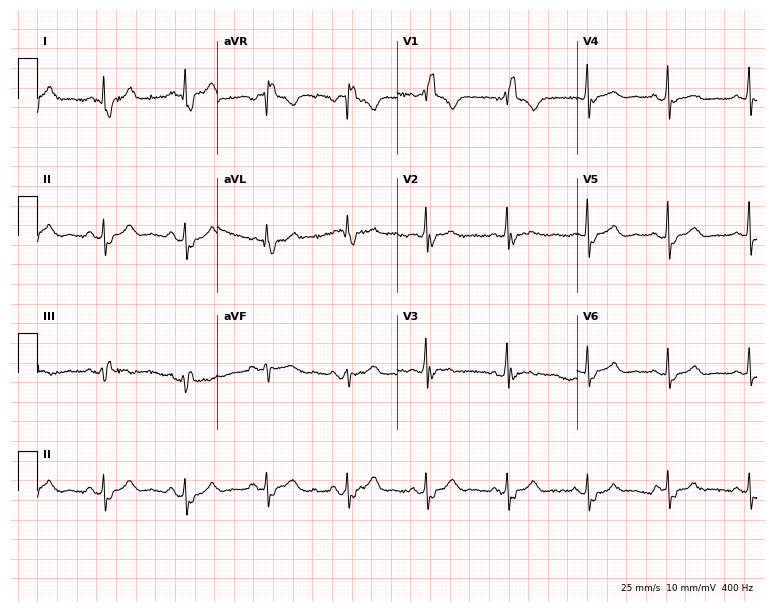
ECG — a 59-year-old female patient. Findings include right bundle branch block.